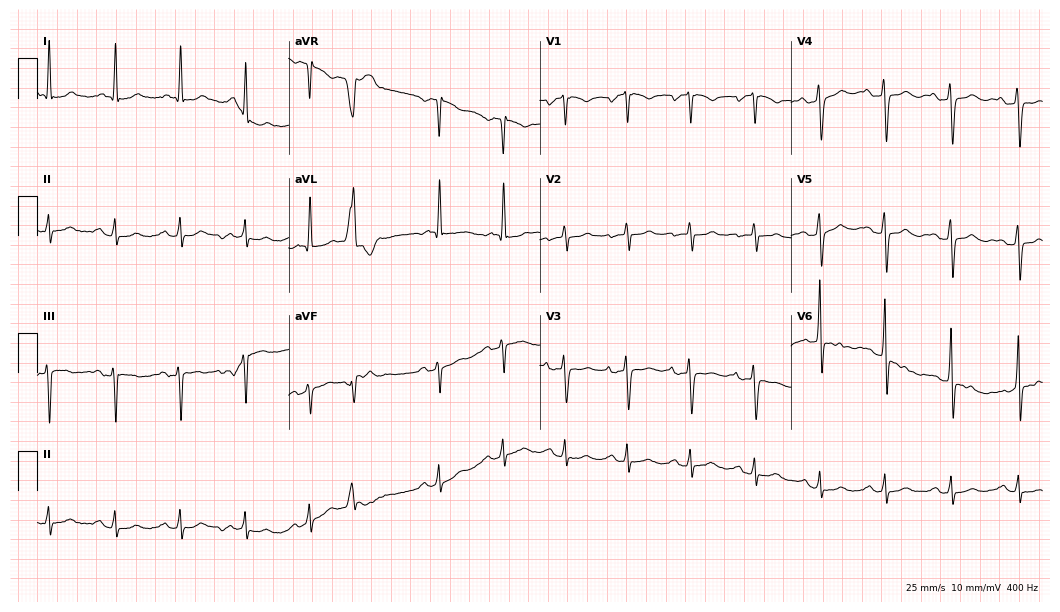
Resting 12-lead electrocardiogram. Patient: an 84-year-old female. None of these six findings is recorded: first-degree AV block, right bundle branch block, left bundle branch block, sinus bradycardia, atrial fibrillation, sinus tachycardia. Only these six findings were labelled.